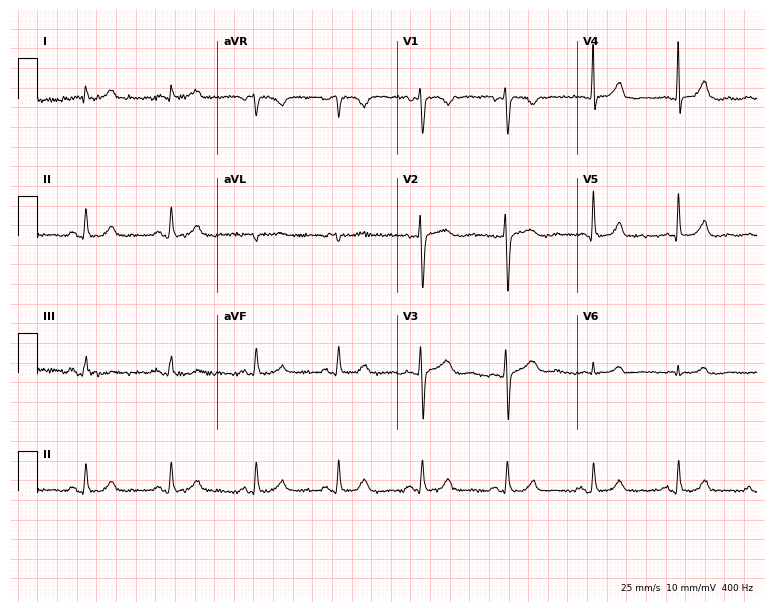
12-lead ECG from a female patient, 57 years old. Recorded interpretation: within normal limits.